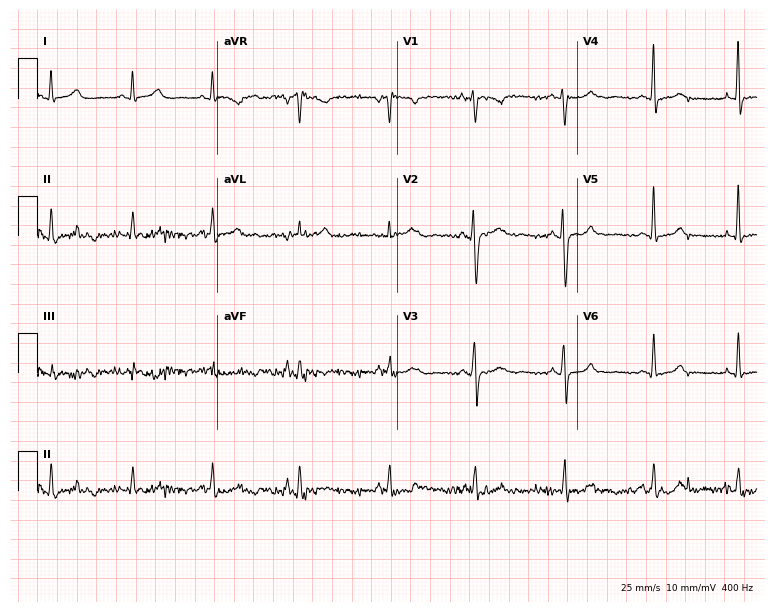
ECG (7.3-second recording at 400 Hz) — a female patient, 31 years old. Screened for six findings — first-degree AV block, right bundle branch block (RBBB), left bundle branch block (LBBB), sinus bradycardia, atrial fibrillation (AF), sinus tachycardia — none is recorded.